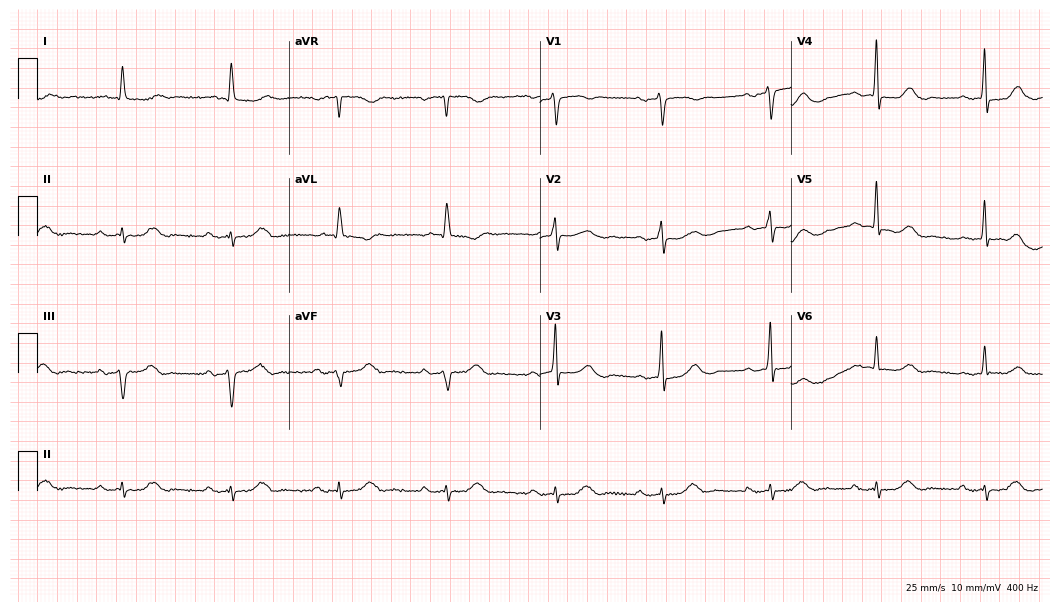
12-lead ECG from a female patient, 73 years old. Shows first-degree AV block.